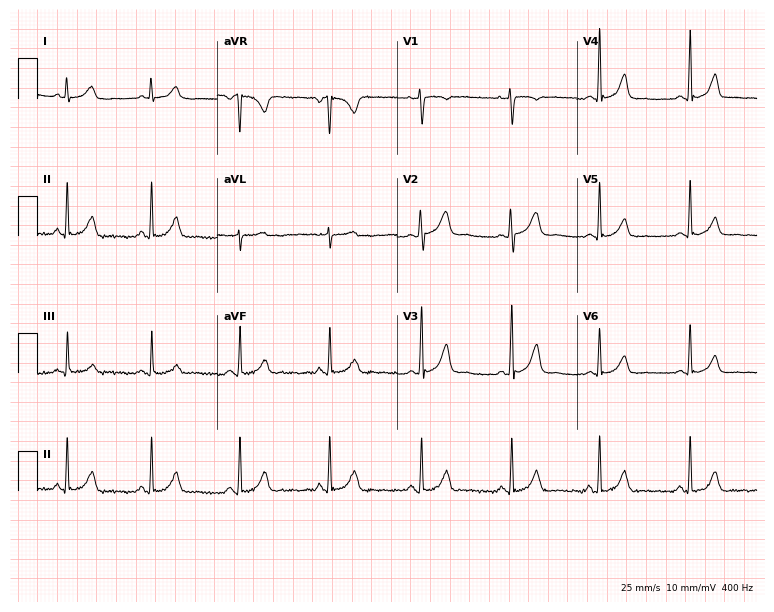
Resting 12-lead electrocardiogram. Patient: a female, 30 years old. Read as a normal ECG.